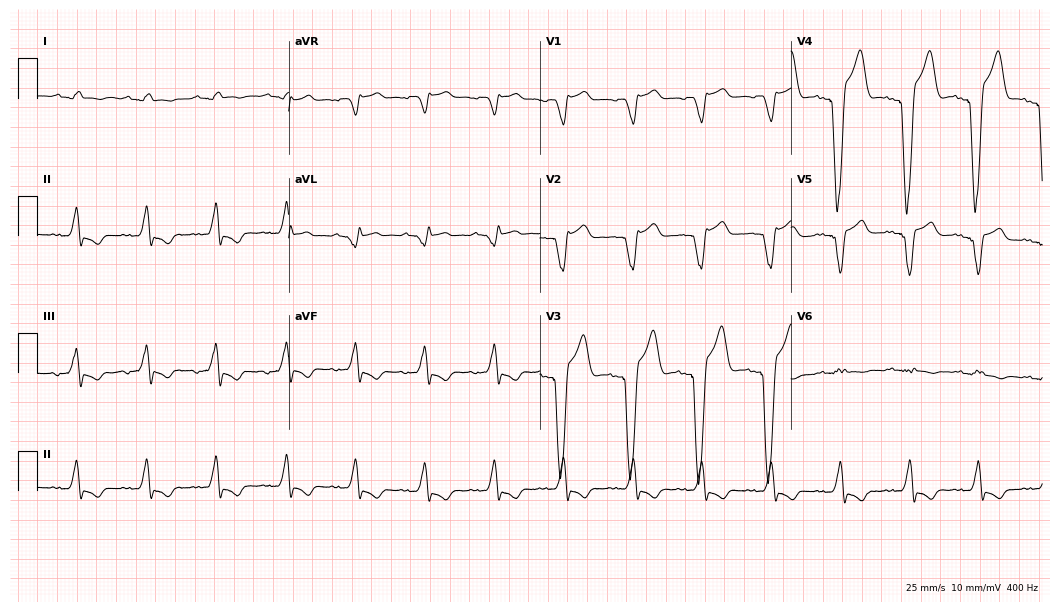
ECG (10.2-second recording at 400 Hz) — a 29-year-old male patient. Screened for six findings — first-degree AV block, right bundle branch block, left bundle branch block, sinus bradycardia, atrial fibrillation, sinus tachycardia — none is recorded.